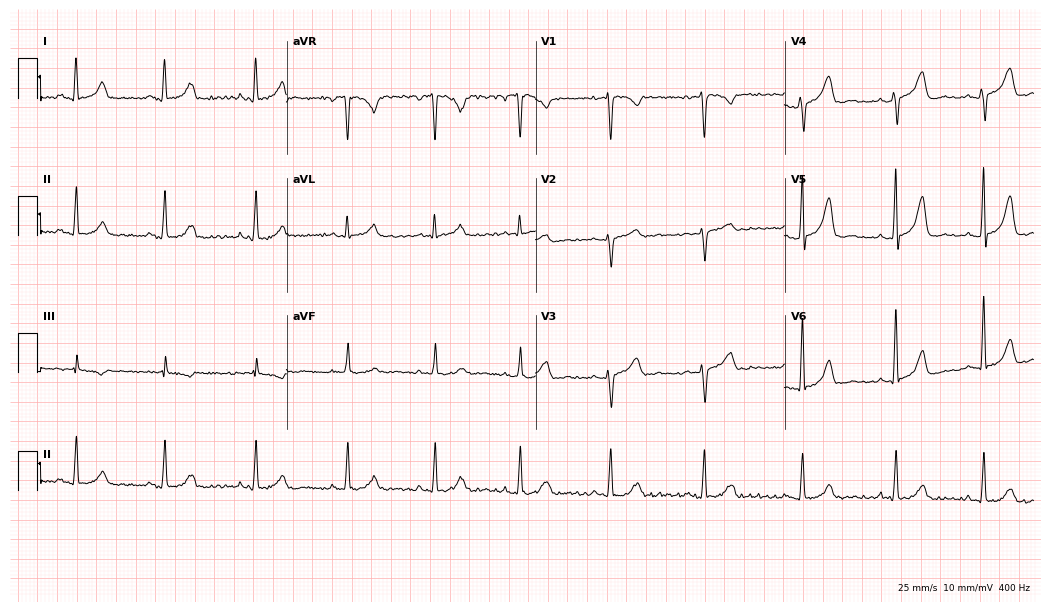
Standard 12-lead ECG recorded from a woman, 40 years old (10.2-second recording at 400 Hz). Read as a normal ECG.